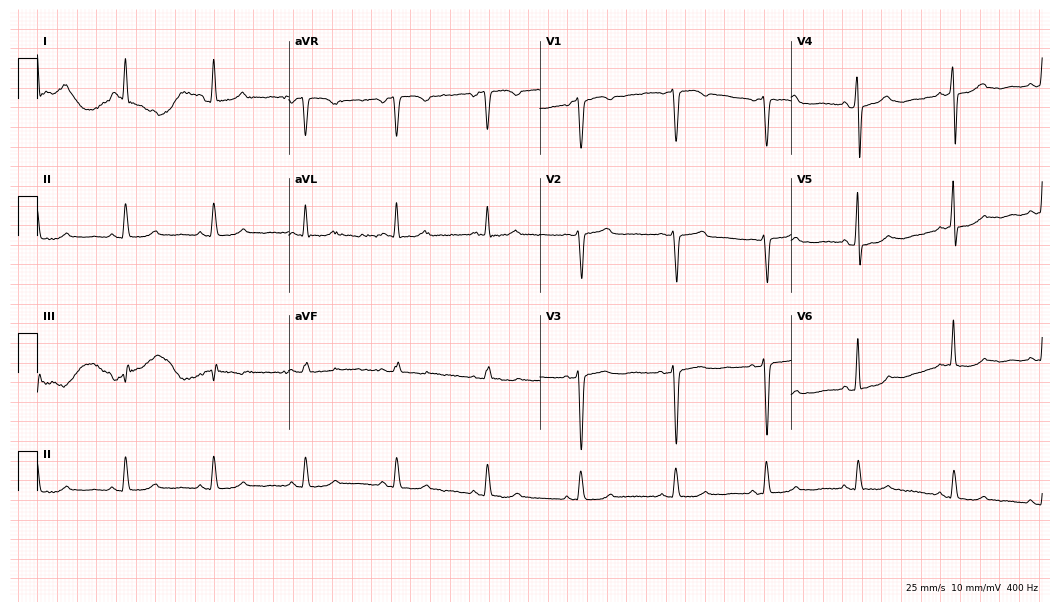
Standard 12-lead ECG recorded from a female patient, 55 years old (10.2-second recording at 400 Hz). None of these six findings is recorded: first-degree AV block, right bundle branch block, left bundle branch block, sinus bradycardia, atrial fibrillation, sinus tachycardia.